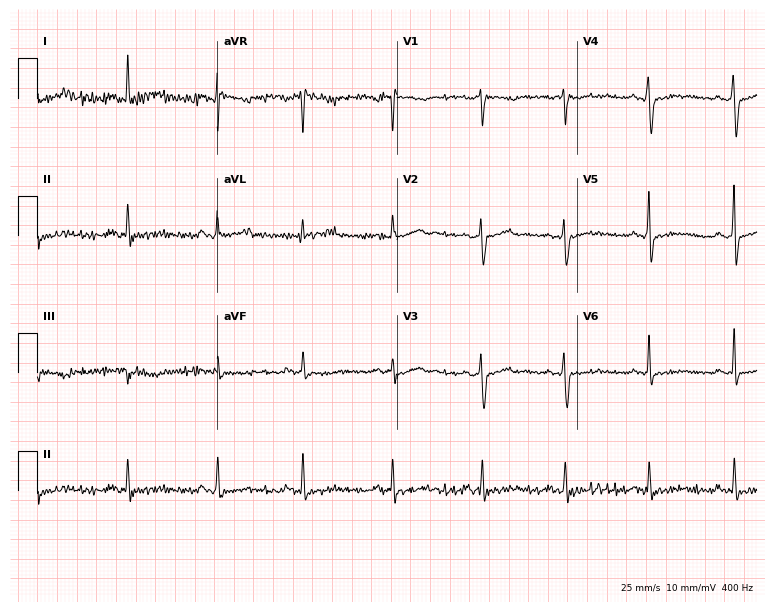
Electrocardiogram, a female patient, 38 years old. Of the six screened findings (first-degree AV block, right bundle branch block, left bundle branch block, sinus bradycardia, atrial fibrillation, sinus tachycardia), none is recorded.